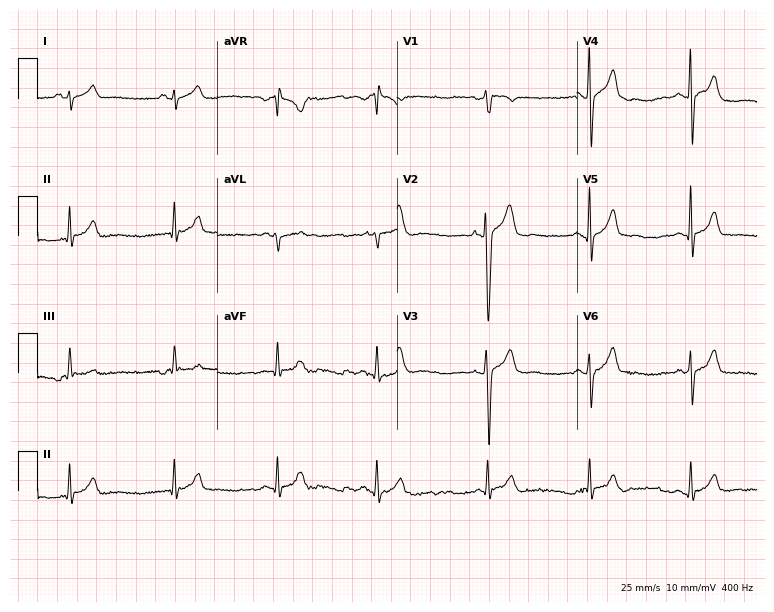
Standard 12-lead ECG recorded from a male patient, 24 years old (7.3-second recording at 400 Hz). Read as a normal ECG.